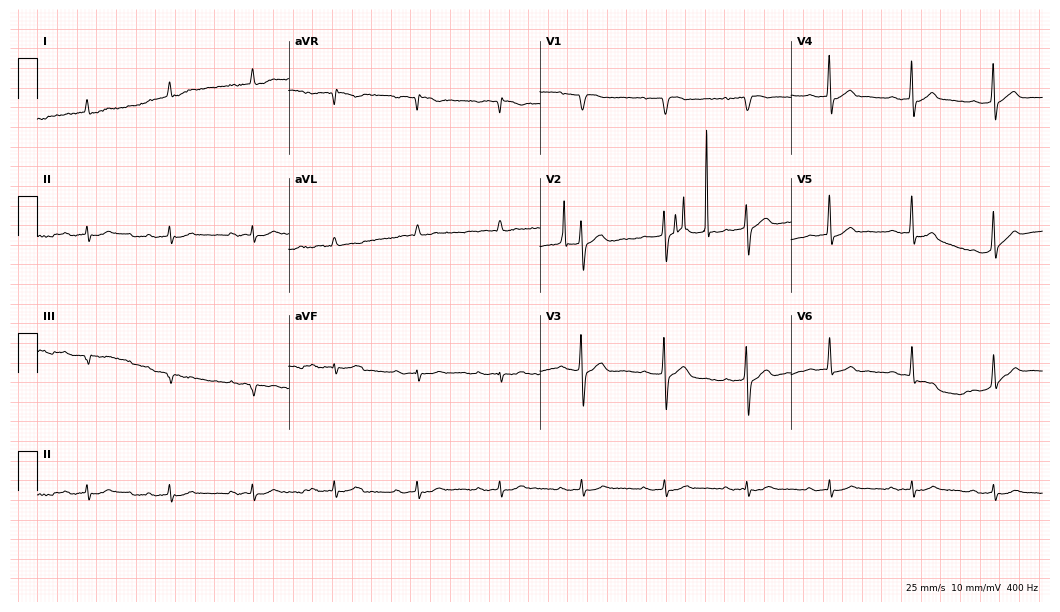
Standard 12-lead ECG recorded from an 85-year-old woman (10.2-second recording at 400 Hz). None of these six findings is recorded: first-degree AV block, right bundle branch block, left bundle branch block, sinus bradycardia, atrial fibrillation, sinus tachycardia.